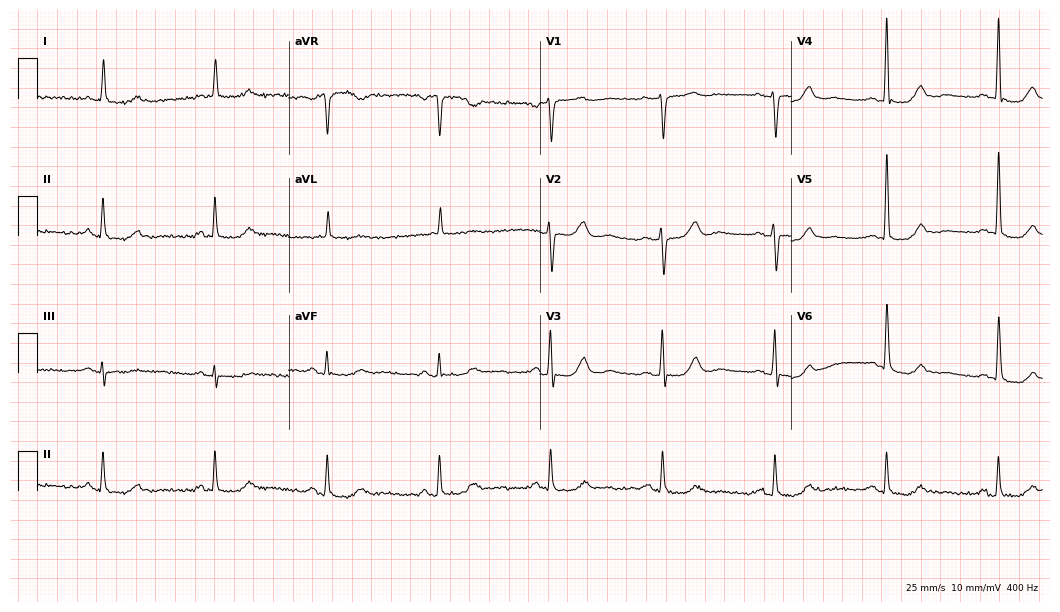
12-lead ECG (10.2-second recording at 400 Hz) from an 80-year-old female patient. Screened for six findings — first-degree AV block, right bundle branch block, left bundle branch block, sinus bradycardia, atrial fibrillation, sinus tachycardia — none is recorded. Other findings, if any, are not listed.